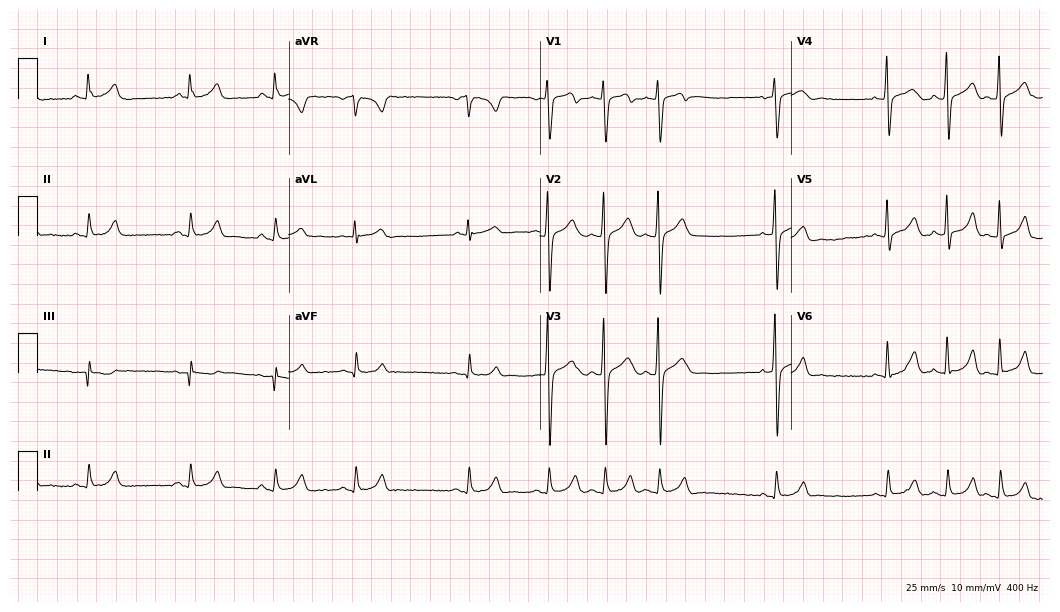
Electrocardiogram, a 42-year-old man. Of the six screened findings (first-degree AV block, right bundle branch block (RBBB), left bundle branch block (LBBB), sinus bradycardia, atrial fibrillation (AF), sinus tachycardia), none is recorded.